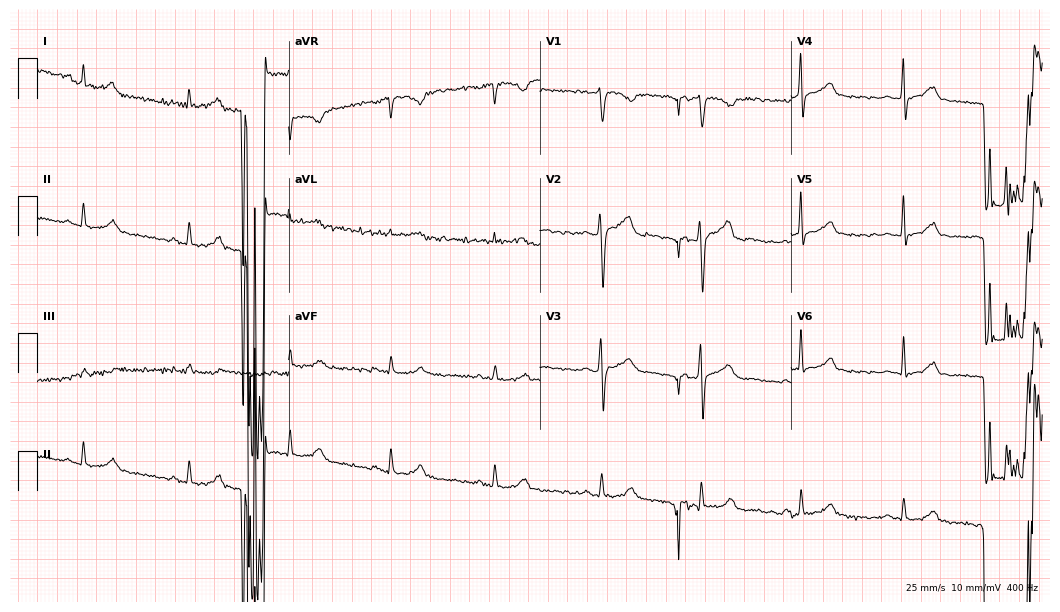
ECG — a male, 41 years old. Labelled as a normal ECG.